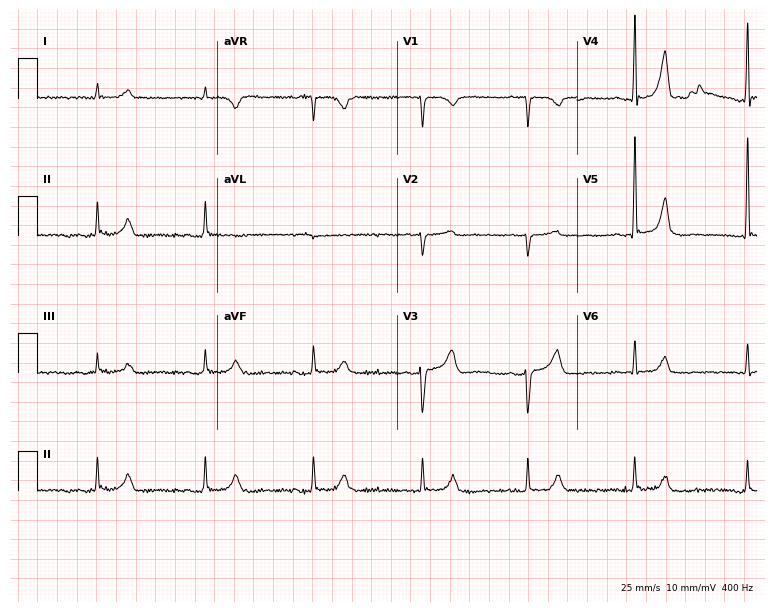
ECG — an 84-year-old man. Labelled as a normal ECG.